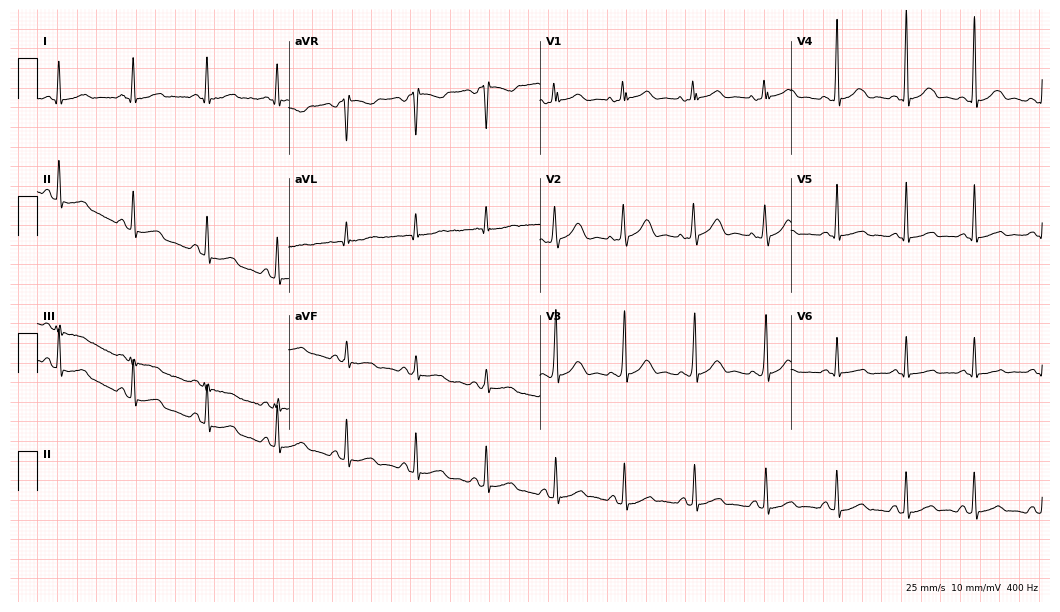
12-lead ECG from a female patient, 40 years old (10.2-second recording at 400 Hz). Recorded interpretation: within normal limits.